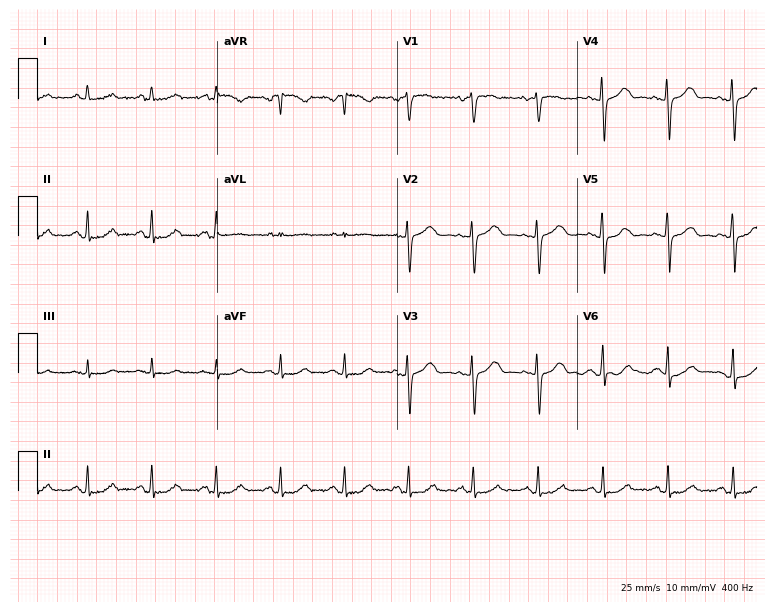
Electrocardiogram, a woman, 55 years old. Overall reading on record: normal ECG.